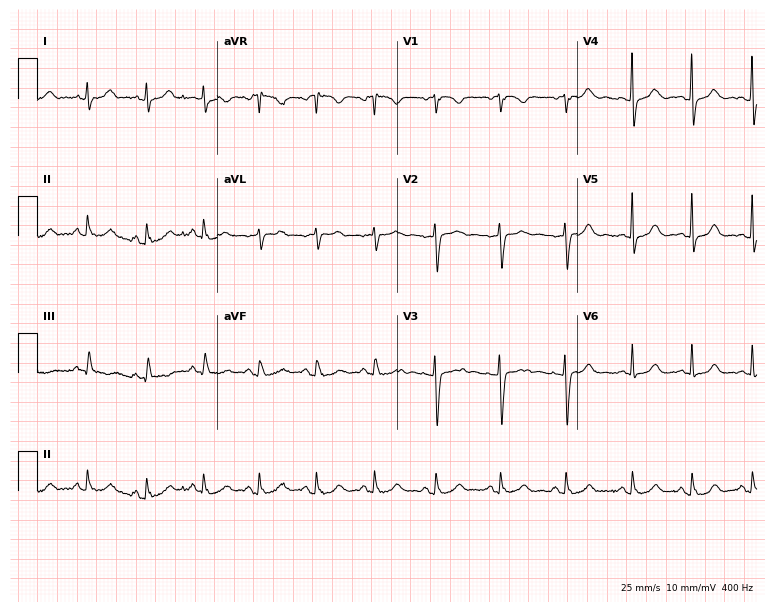
12-lead ECG from a 30-year-old woman. No first-degree AV block, right bundle branch block, left bundle branch block, sinus bradycardia, atrial fibrillation or sinus tachycardia recorded for this tracing. Only these six findings were labelled.